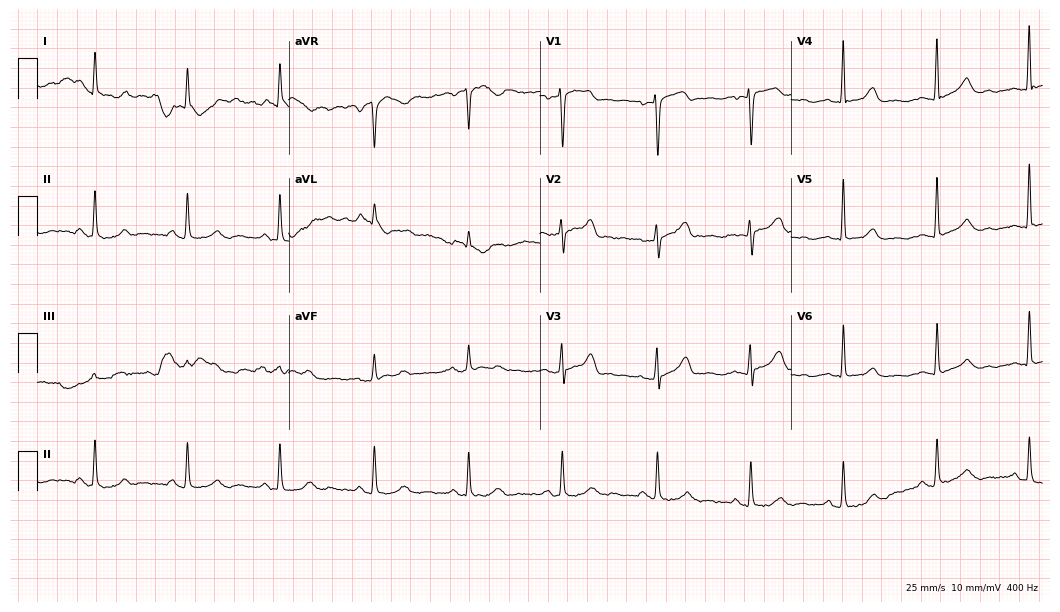
ECG (10.2-second recording at 400 Hz) — a 68-year-old woman. Screened for six findings — first-degree AV block, right bundle branch block, left bundle branch block, sinus bradycardia, atrial fibrillation, sinus tachycardia — none is recorded.